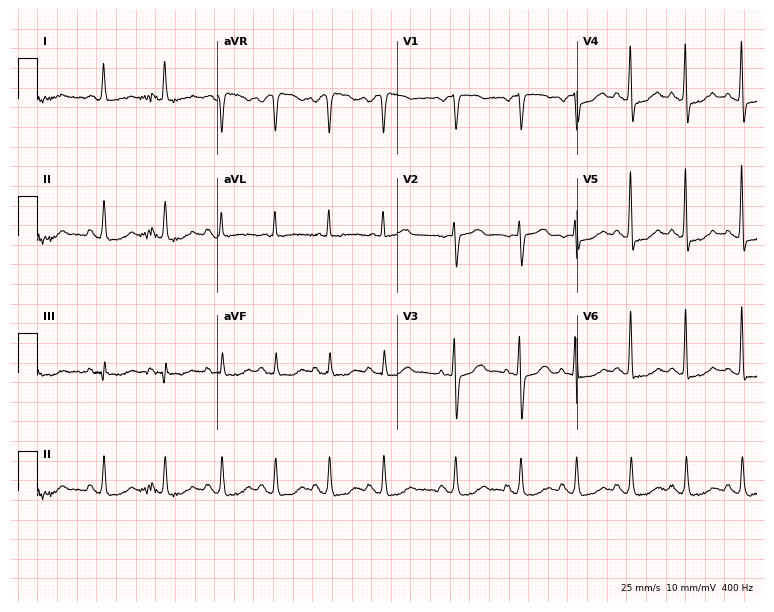
12-lead ECG from a 75-year-old female (7.3-second recording at 400 Hz). Shows sinus tachycardia (a sinus rate of 100 beats per minute or more).